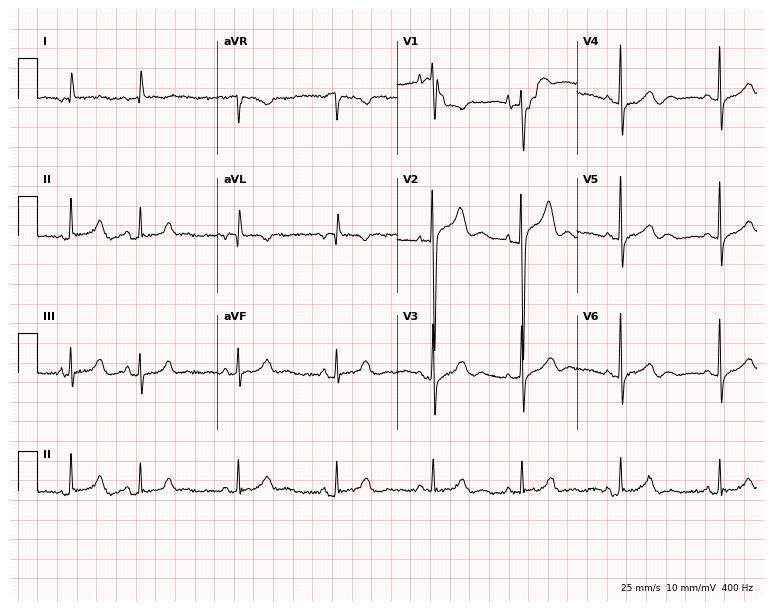
12-lead ECG from a female, 81 years old. Screened for six findings — first-degree AV block, right bundle branch block, left bundle branch block, sinus bradycardia, atrial fibrillation, sinus tachycardia — none is recorded. Other findings, if any, are not listed.